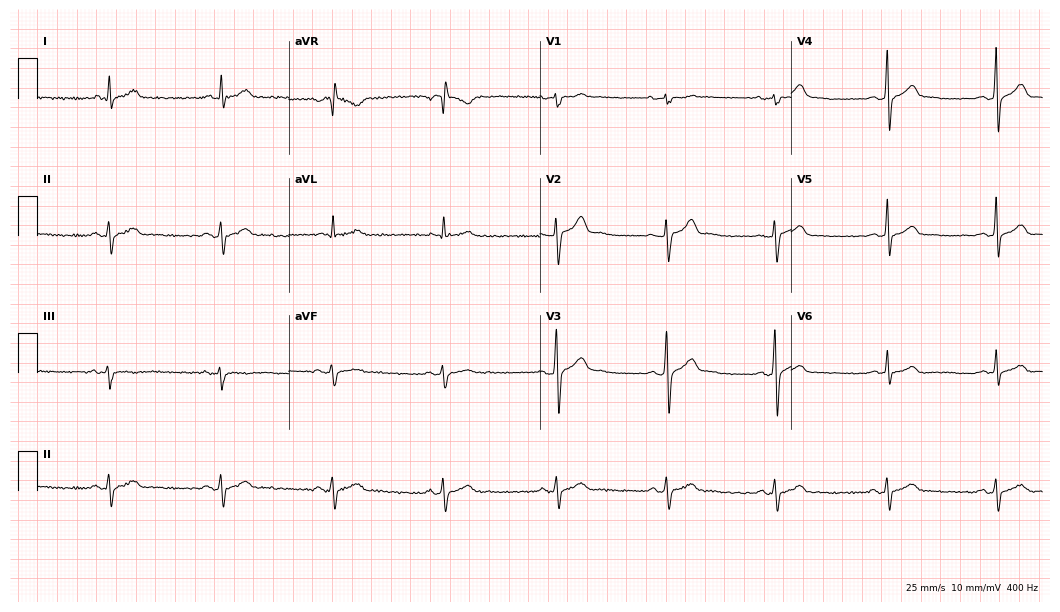
Electrocardiogram (10.2-second recording at 400 Hz), a 37-year-old man. Overall reading on record: normal ECG.